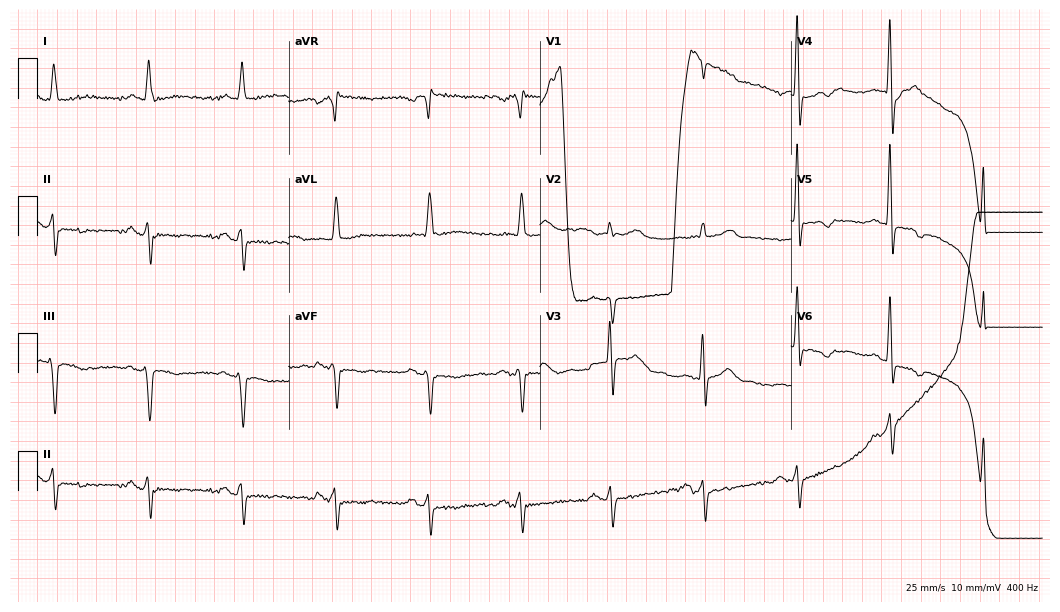
Resting 12-lead electrocardiogram (10.2-second recording at 400 Hz). Patient: a man, 78 years old. None of these six findings is recorded: first-degree AV block, right bundle branch block, left bundle branch block, sinus bradycardia, atrial fibrillation, sinus tachycardia. Other findings, if any, are not listed.